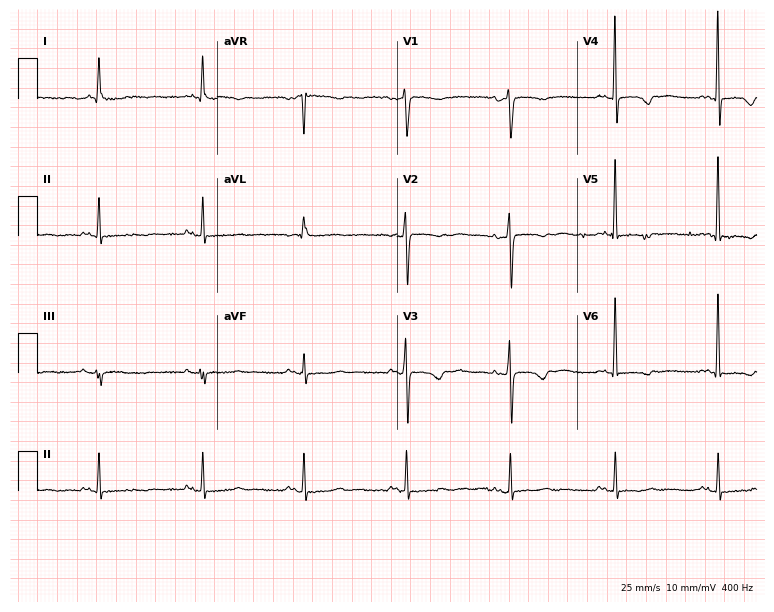
Resting 12-lead electrocardiogram (7.3-second recording at 400 Hz). Patient: a 57-year-old woman. None of these six findings is recorded: first-degree AV block, right bundle branch block, left bundle branch block, sinus bradycardia, atrial fibrillation, sinus tachycardia.